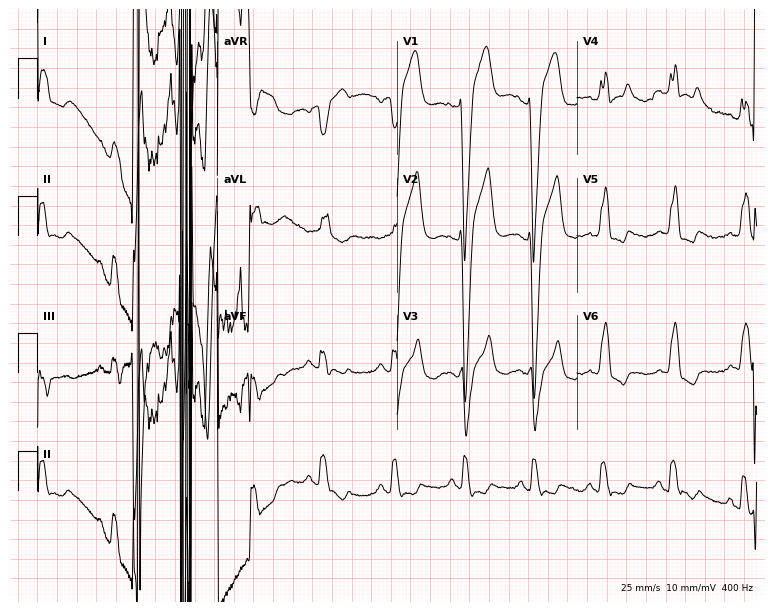
Standard 12-lead ECG recorded from a 76-year-old male. The tracing shows left bundle branch block (LBBB).